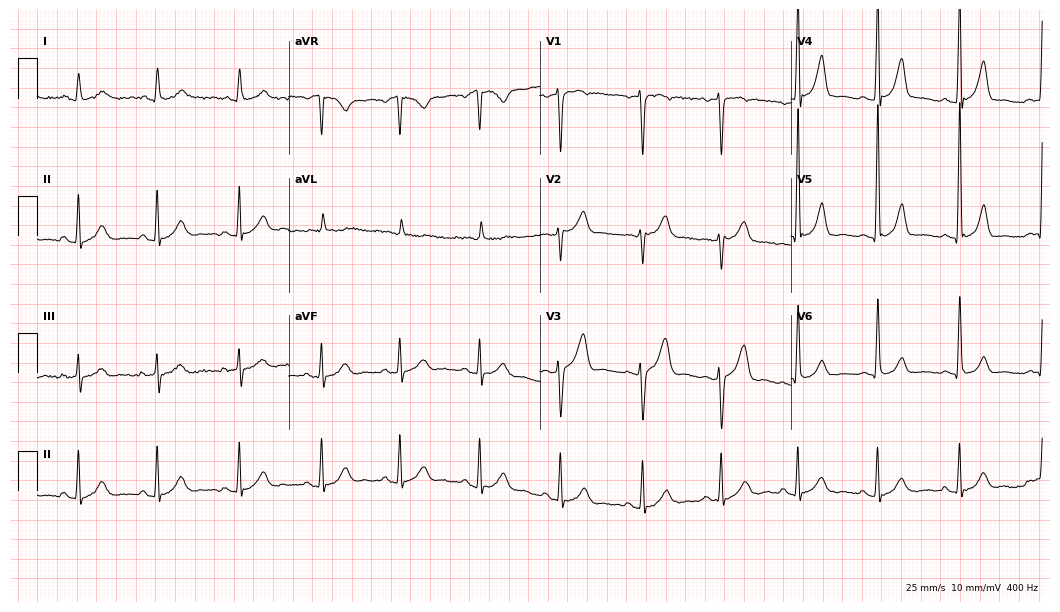
12-lead ECG (10.2-second recording at 400 Hz) from a man, 48 years old. Labelled as a normal ECG.